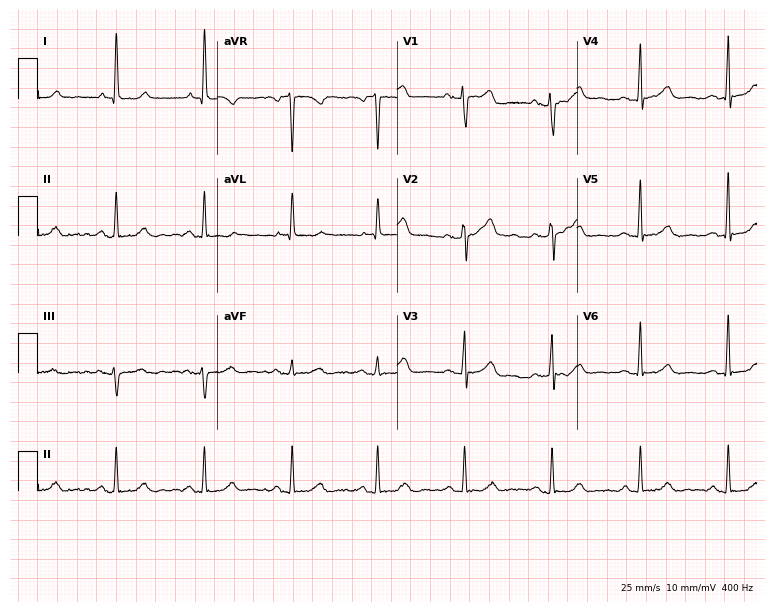
Electrocardiogram, a woman, 58 years old. Overall reading on record: normal ECG.